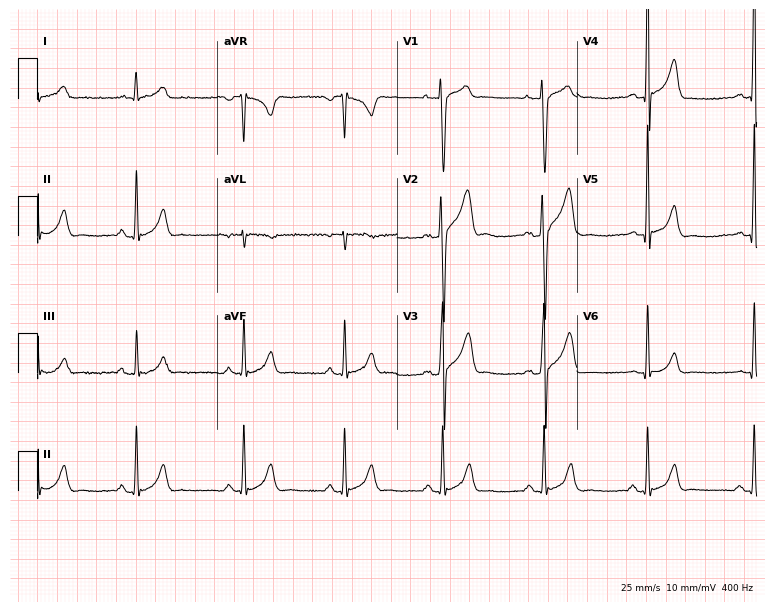
Resting 12-lead electrocardiogram. Patient: a man, 21 years old. Read as a normal ECG.